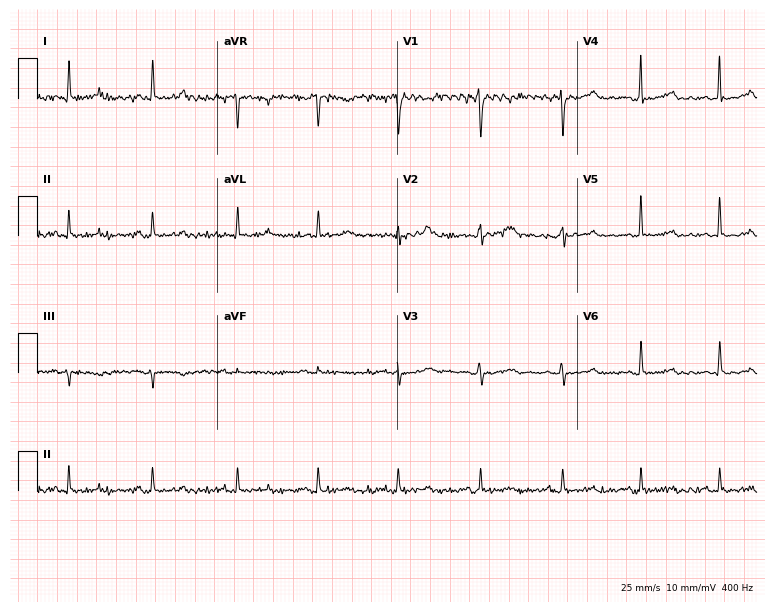
Standard 12-lead ECG recorded from a 42-year-old female. None of these six findings is recorded: first-degree AV block, right bundle branch block, left bundle branch block, sinus bradycardia, atrial fibrillation, sinus tachycardia.